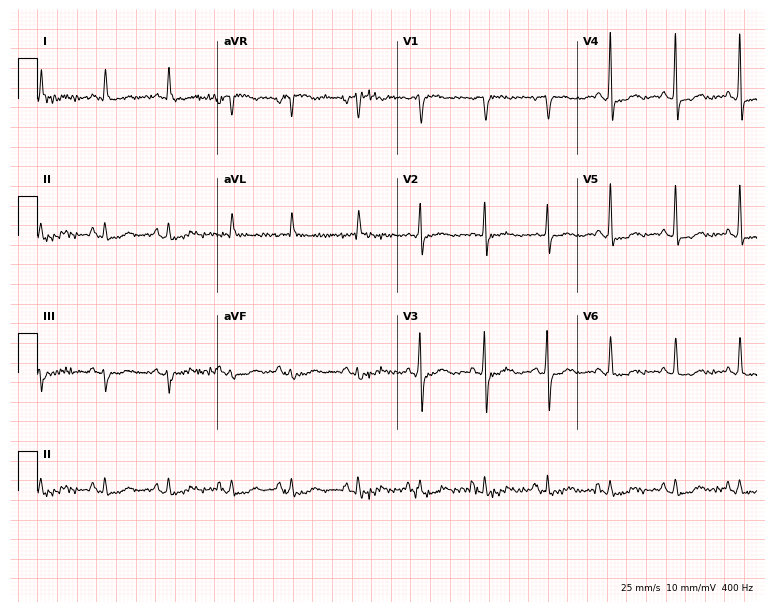
12-lead ECG from a woman, 77 years old. Screened for six findings — first-degree AV block, right bundle branch block, left bundle branch block, sinus bradycardia, atrial fibrillation, sinus tachycardia — none is recorded. Only these six findings were labelled.